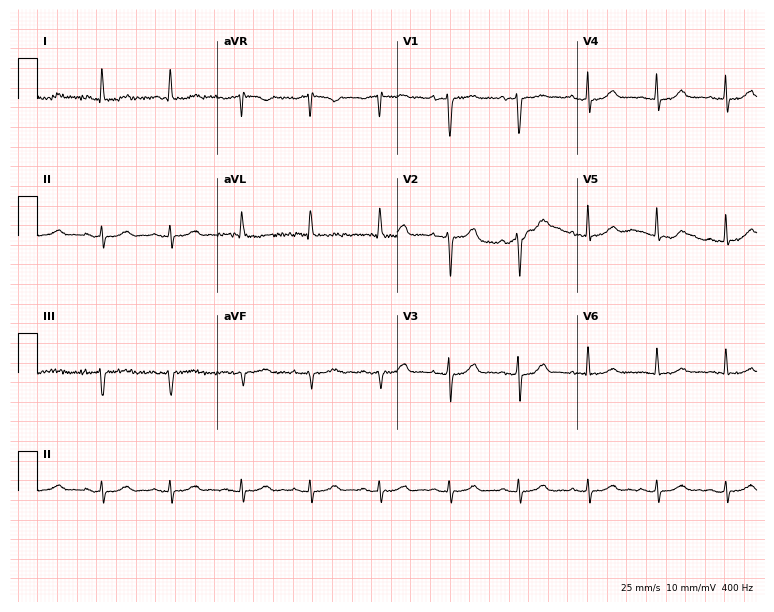
Standard 12-lead ECG recorded from a male, 70 years old. Read as a normal ECG.